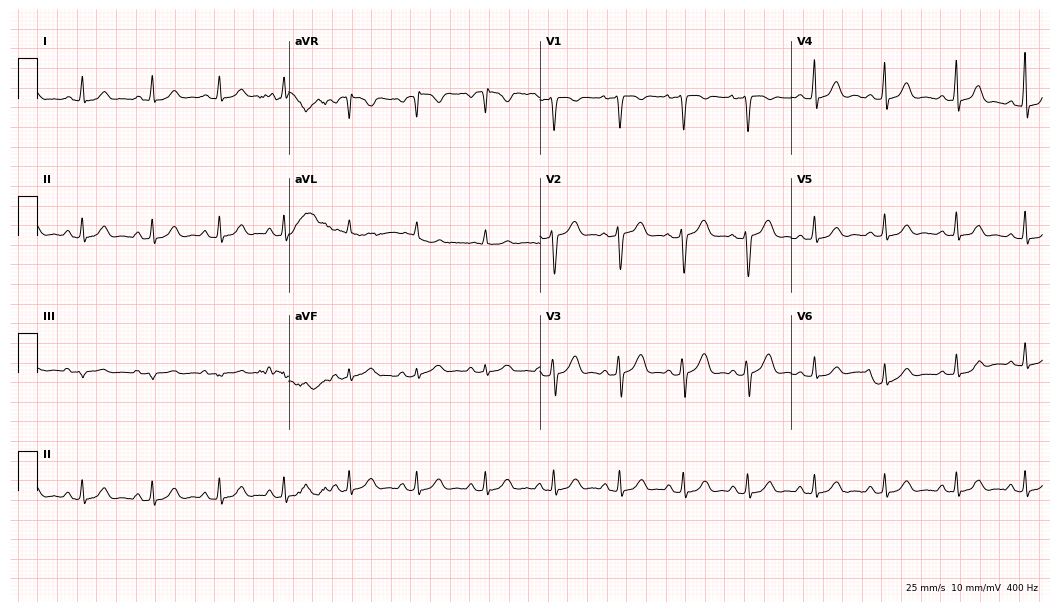
12-lead ECG from a female, 32 years old (10.2-second recording at 400 Hz). Recorded interpretation: within normal limits.